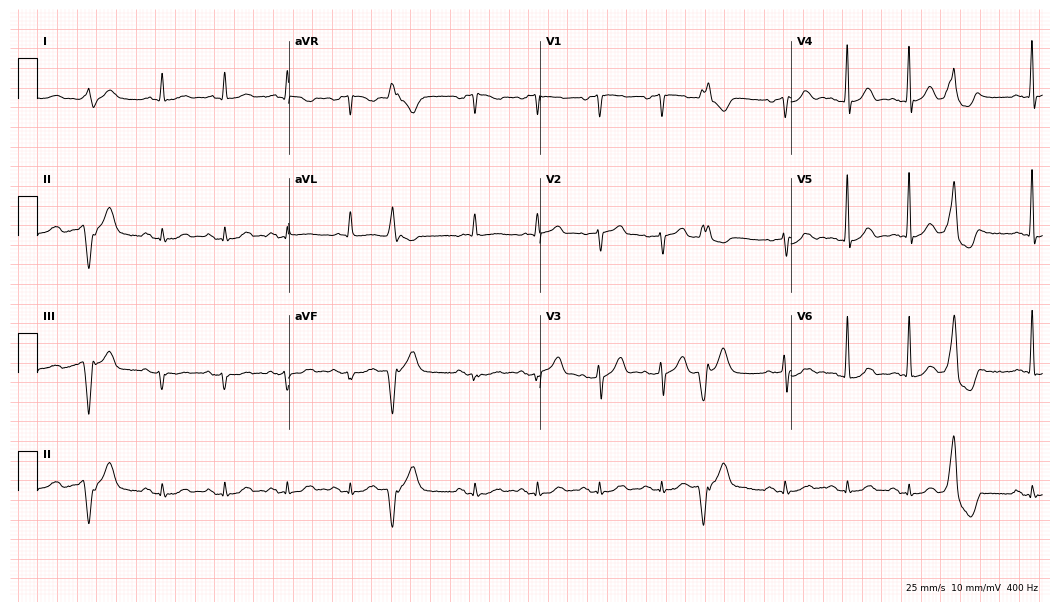
ECG — a man, 75 years old. Screened for six findings — first-degree AV block, right bundle branch block, left bundle branch block, sinus bradycardia, atrial fibrillation, sinus tachycardia — none is recorded.